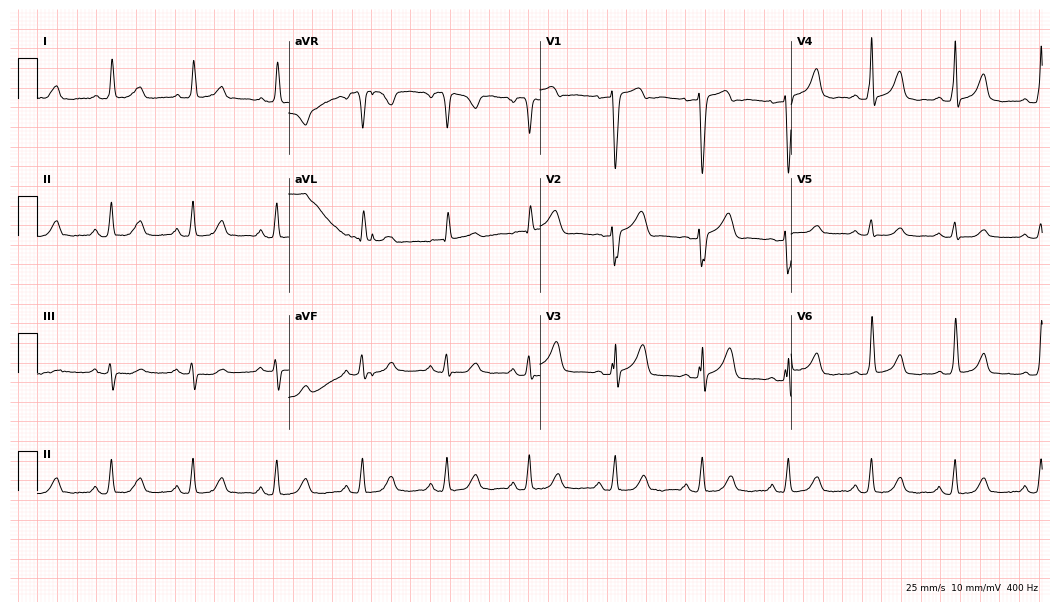
Electrocardiogram (10.2-second recording at 400 Hz), a female, 83 years old. Overall reading on record: normal ECG.